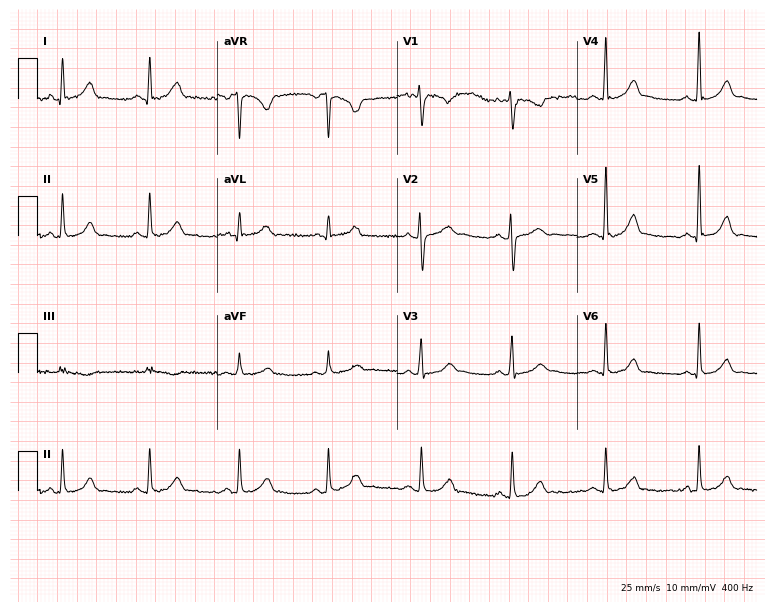
12-lead ECG (7.3-second recording at 400 Hz) from a 33-year-old female. Labelled as a normal ECG.